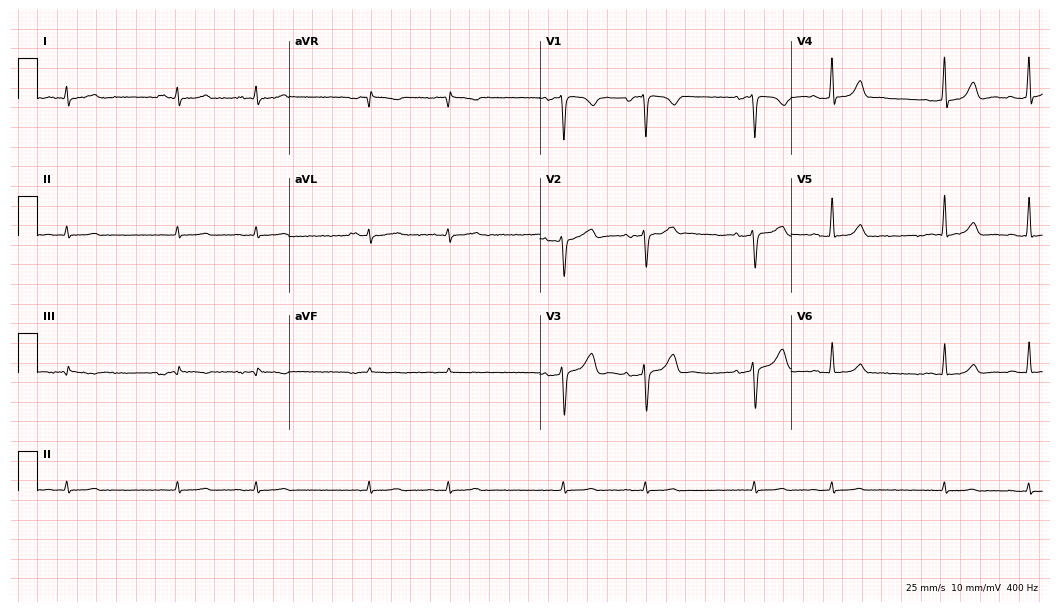
Resting 12-lead electrocardiogram. Patient: a female, 66 years old. Read as a normal ECG.